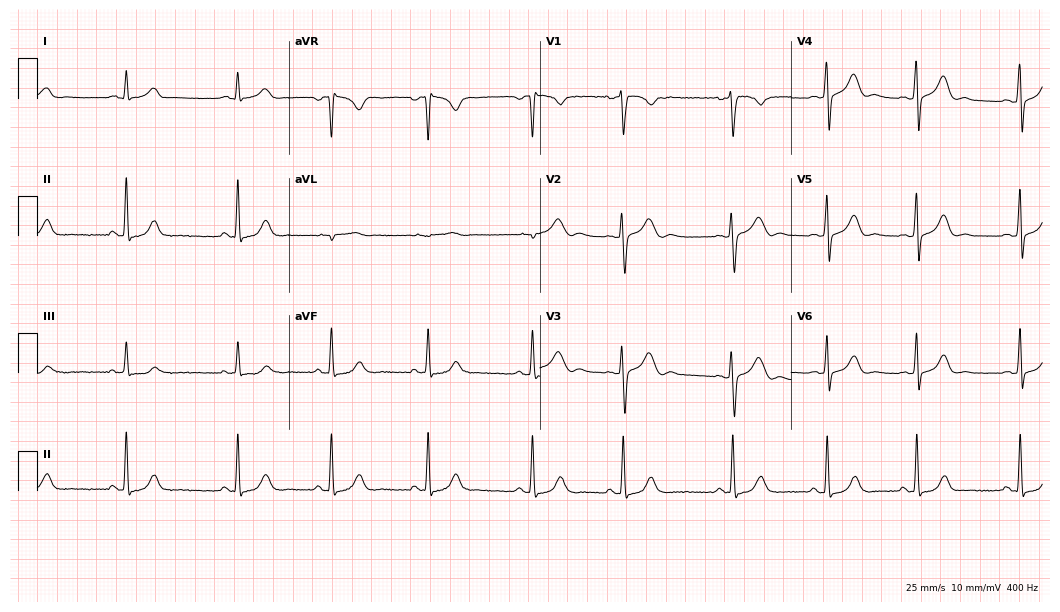
12-lead ECG from a woman, 17 years old. Recorded interpretation: within normal limits.